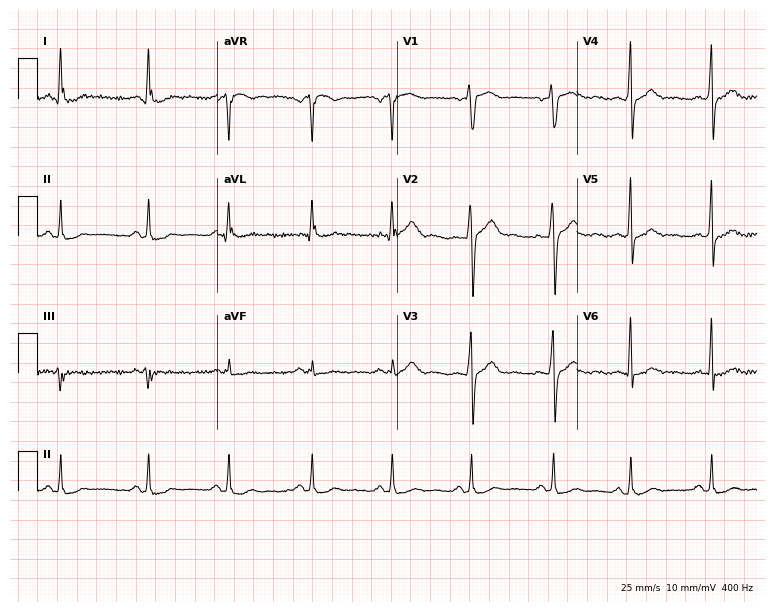
Electrocardiogram, a 31-year-old woman. Of the six screened findings (first-degree AV block, right bundle branch block (RBBB), left bundle branch block (LBBB), sinus bradycardia, atrial fibrillation (AF), sinus tachycardia), none is recorded. Other findings, if any, are not listed.